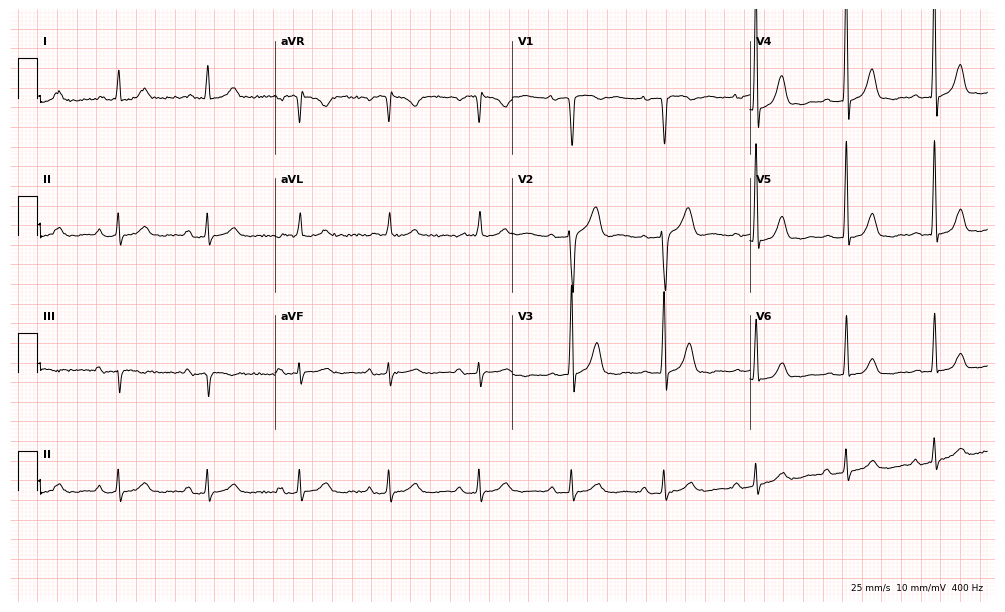
Standard 12-lead ECG recorded from a male patient, 82 years old (9.7-second recording at 400 Hz). Read as a normal ECG.